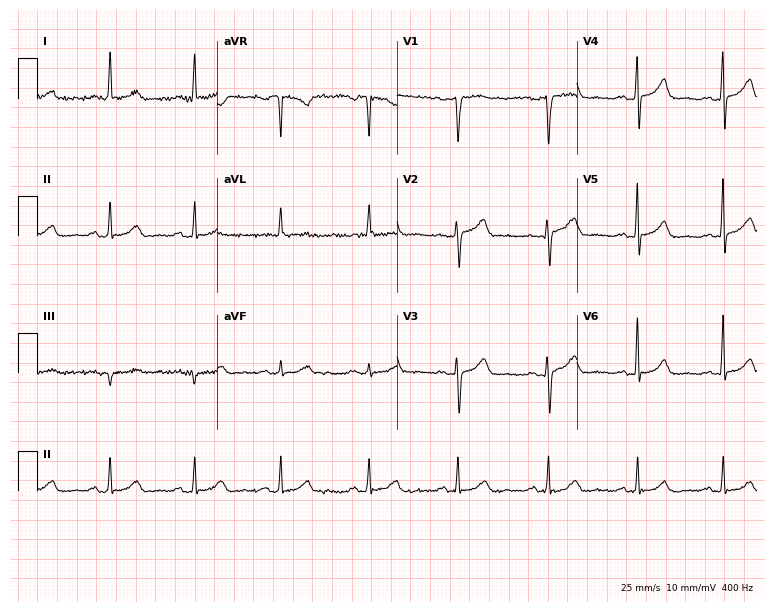
12-lead ECG from a 56-year-old woman. Labelled as a normal ECG.